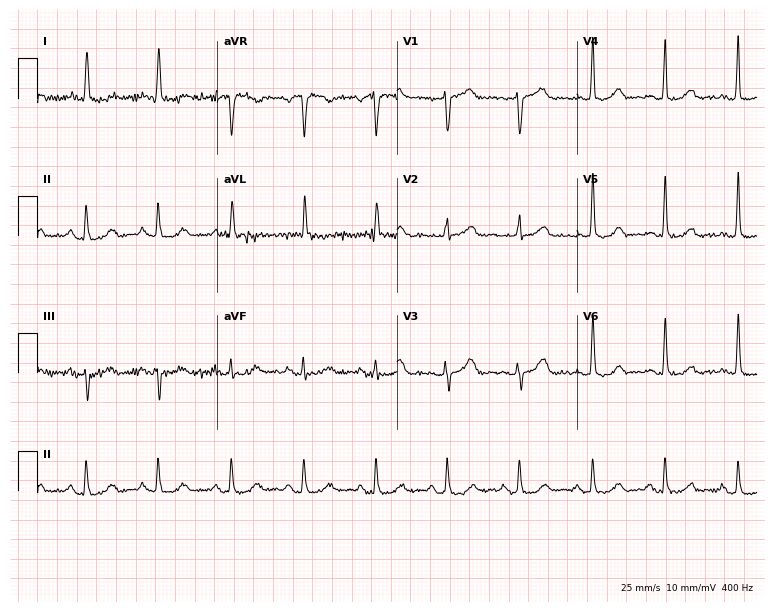
Electrocardiogram (7.3-second recording at 400 Hz), a female, 87 years old. Of the six screened findings (first-degree AV block, right bundle branch block (RBBB), left bundle branch block (LBBB), sinus bradycardia, atrial fibrillation (AF), sinus tachycardia), none is recorded. Only these six findings were labelled.